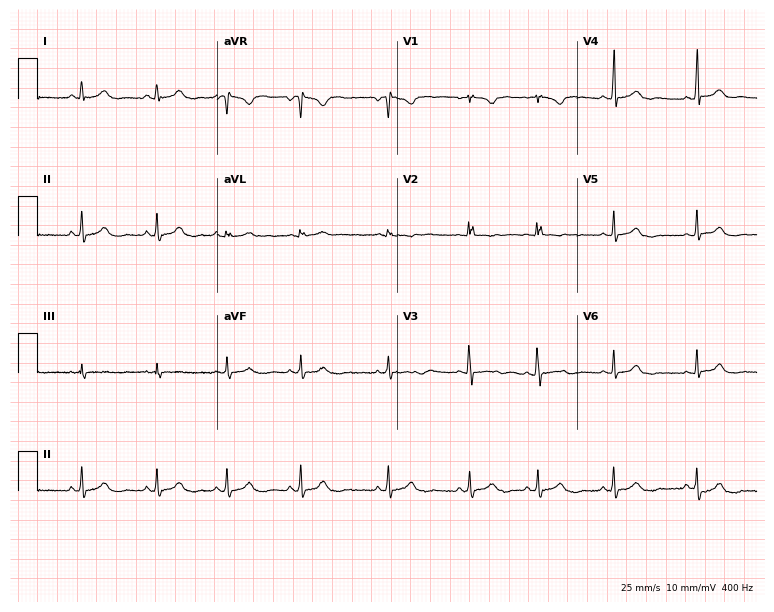
Resting 12-lead electrocardiogram (7.3-second recording at 400 Hz). Patient: a 17-year-old female. None of these six findings is recorded: first-degree AV block, right bundle branch block (RBBB), left bundle branch block (LBBB), sinus bradycardia, atrial fibrillation (AF), sinus tachycardia. Findings outside these six are not listed.